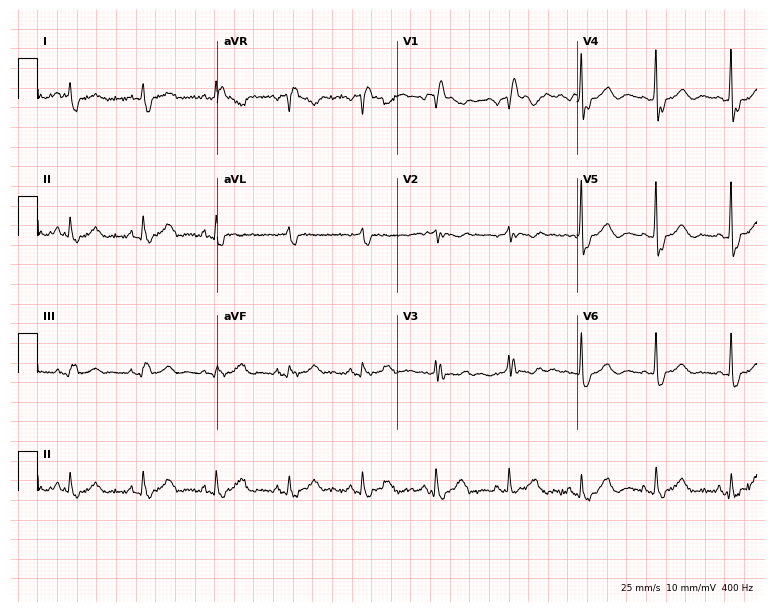
Standard 12-lead ECG recorded from a female patient, 84 years old (7.3-second recording at 400 Hz). The tracing shows right bundle branch block.